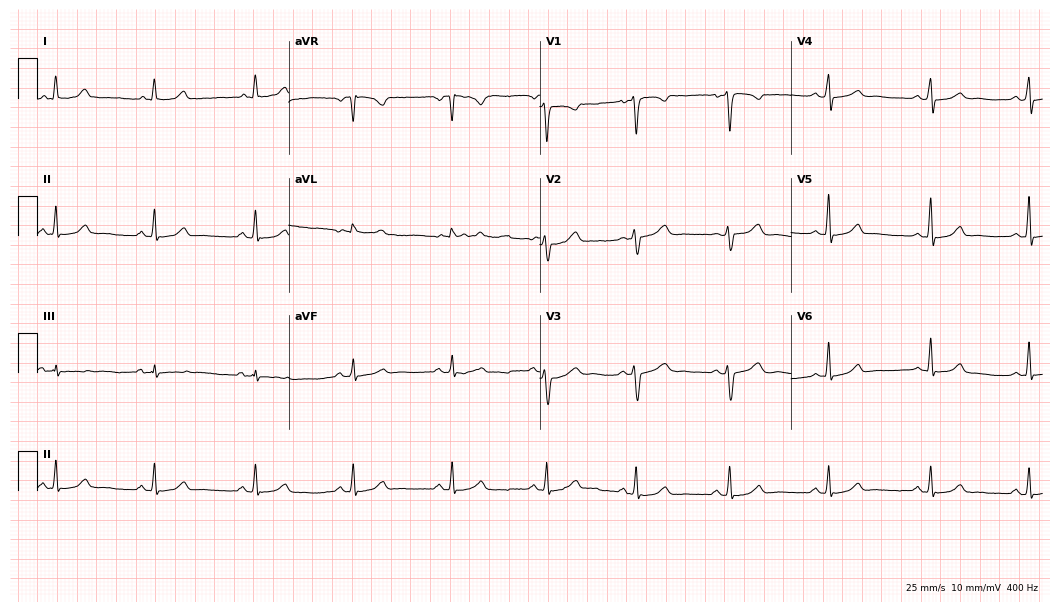
Resting 12-lead electrocardiogram. Patient: a female, 36 years old. None of these six findings is recorded: first-degree AV block, right bundle branch block (RBBB), left bundle branch block (LBBB), sinus bradycardia, atrial fibrillation (AF), sinus tachycardia. Other findings, if any, are not listed.